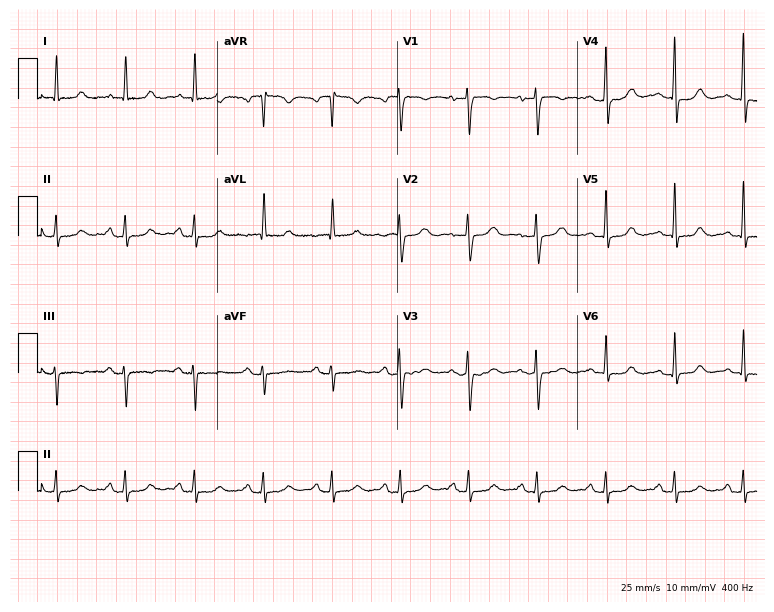
Standard 12-lead ECG recorded from a woman, 76 years old (7.3-second recording at 400 Hz). None of these six findings is recorded: first-degree AV block, right bundle branch block, left bundle branch block, sinus bradycardia, atrial fibrillation, sinus tachycardia. Other findings, if any, are not listed.